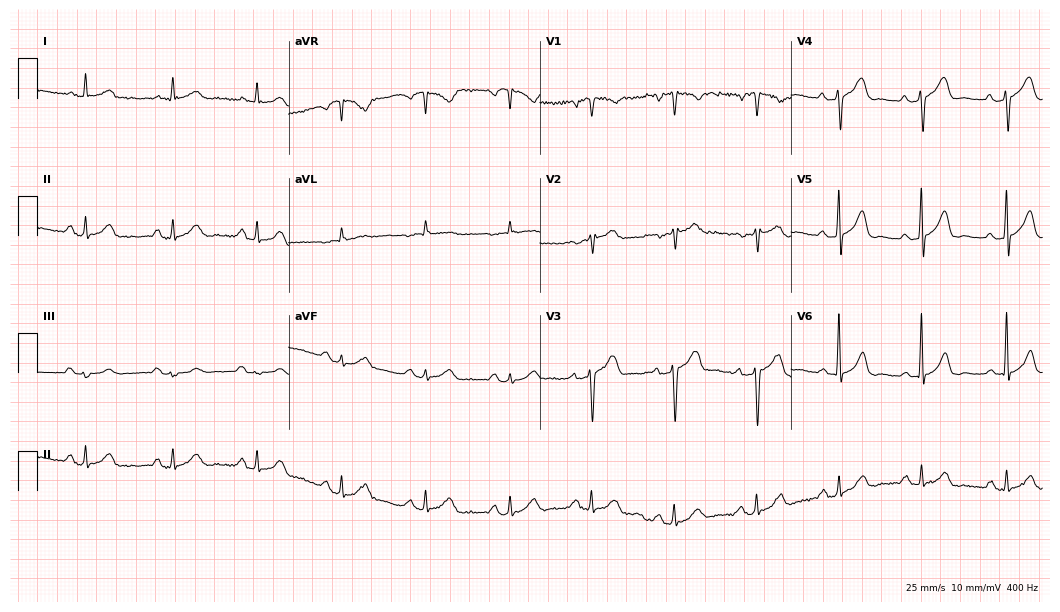
Electrocardiogram, a 66-year-old male patient. Overall reading on record: normal ECG.